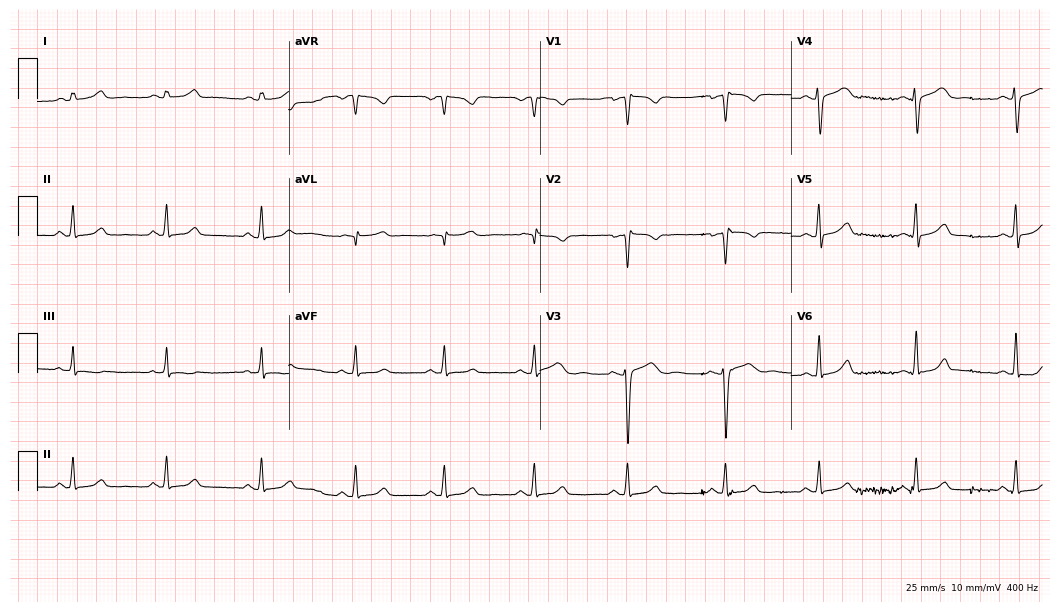
ECG (10.2-second recording at 400 Hz) — a female patient, 30 years old. Labelled as a normal ECG.